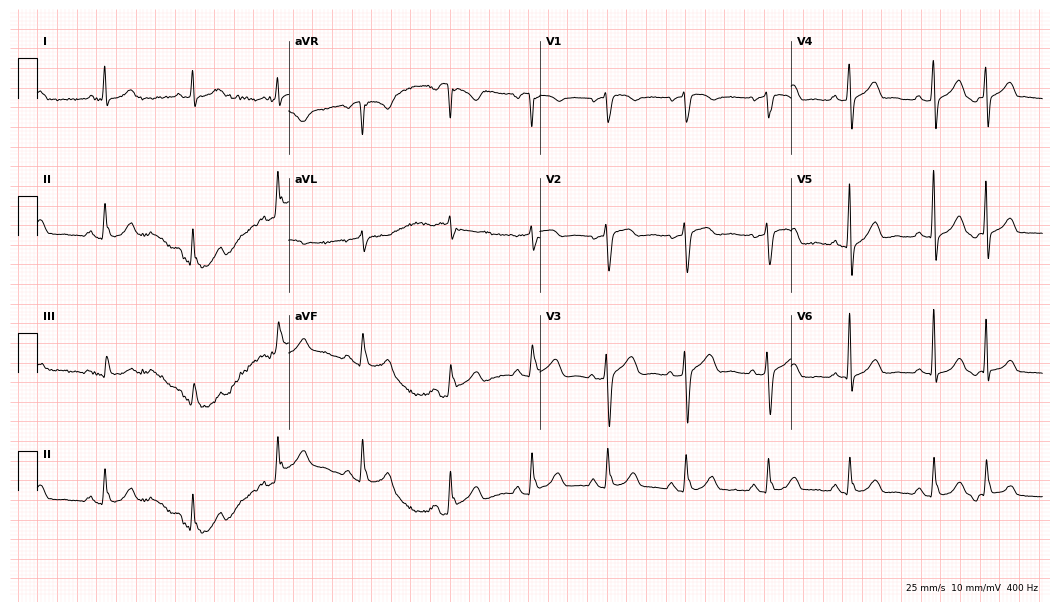
Resting 12-lead electrocardiogram (10.2-second recording at 400 Hz). Patient: a woman, 58 years old. None of these six findings is recorded: first-degree AV block, right bundle branch block, left bundle branch block, sinus bradycardia, atrial fibrillation, sinus tachycardia.